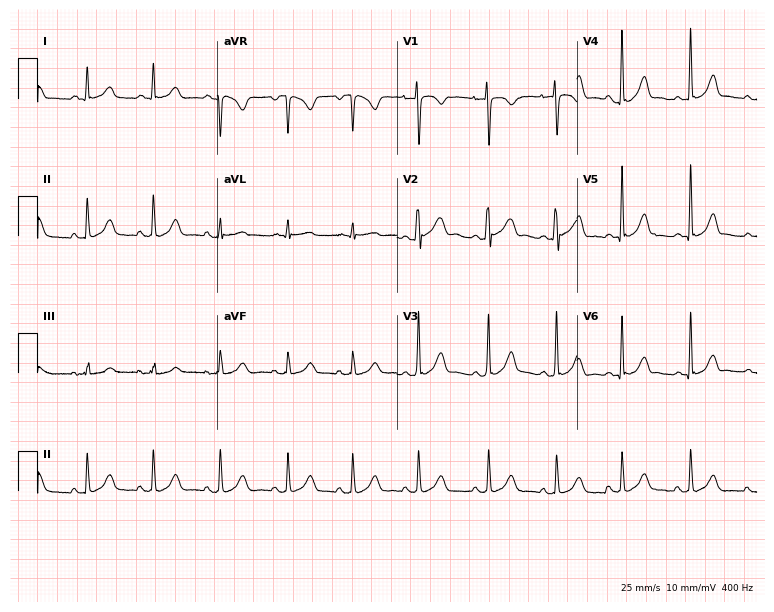
ECG — a 34-year-old female. Labelled as a normal ECG.